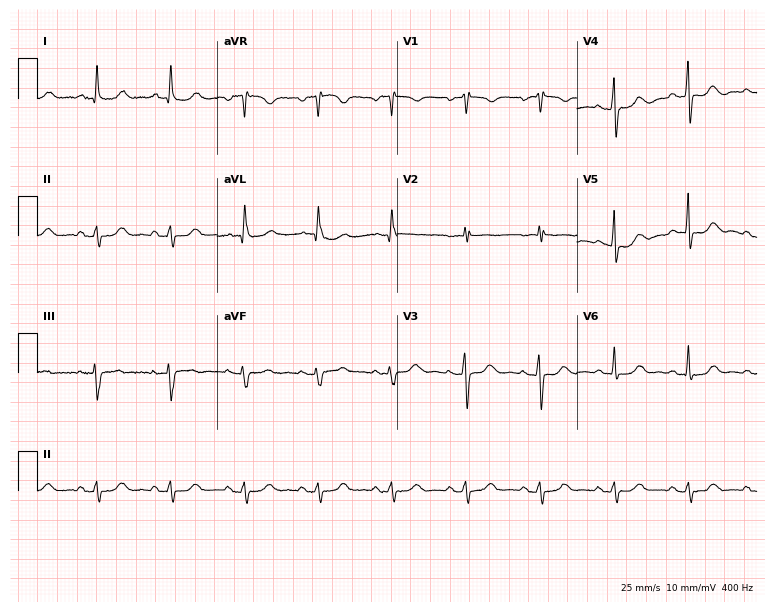
Electrocardiogram (7.3-second recording at 400 Hz), a female, 82 years old. Of the six screened findings (first-degree AV block, right bundle branch block (RBBB), left bundle branch block (LBBB), sinus bradycardia, atrial fibrillation (AF), sinus tachycardia), none is recorded.